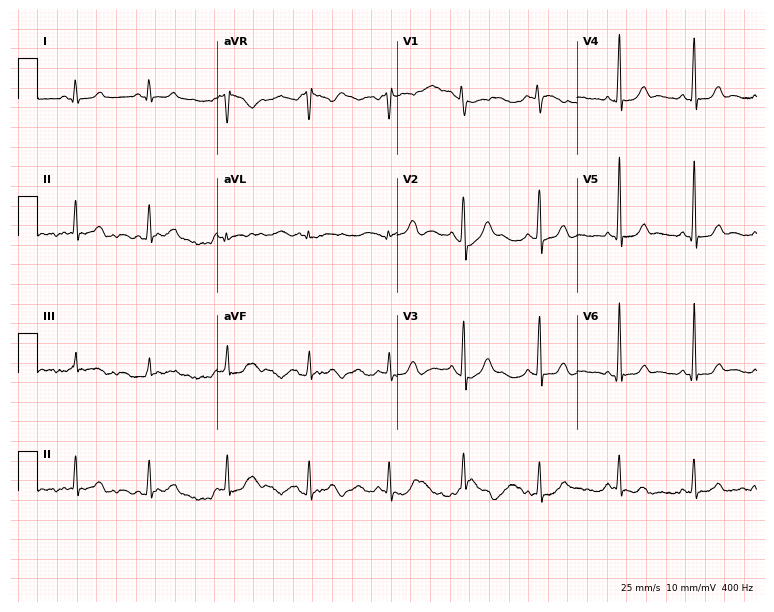
Electrocardiogram, a 20-year-old female patient. Overall reading on record: normal ECG.